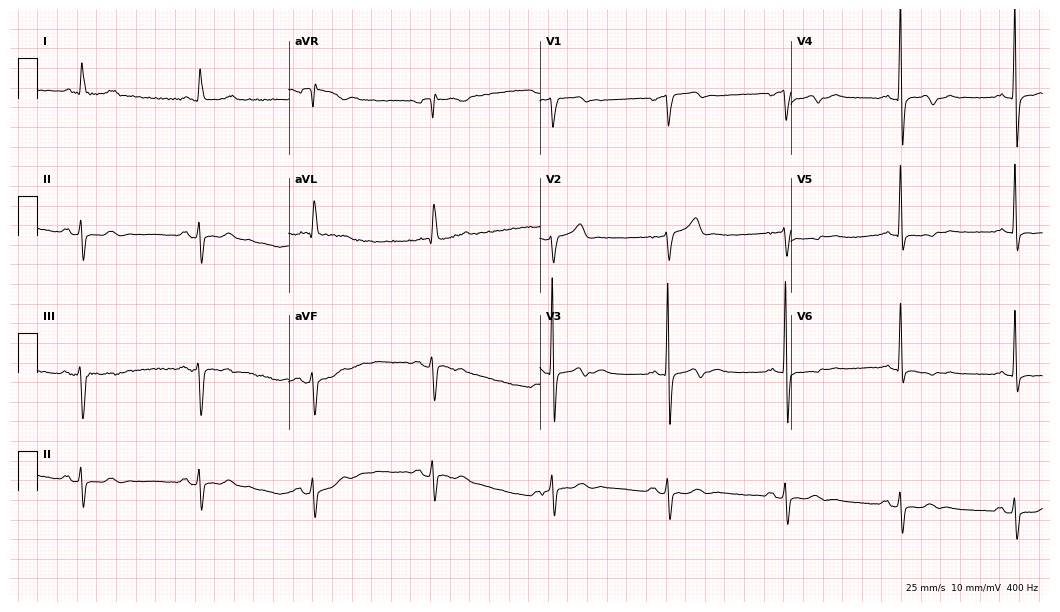
Standard 12-lead ECG recorded from a male, 74 years old (10.2-second recording at 400 Hz). None of these six findings is recorded: first-degree AV block, right bundle branch block (RBBB), left bundle branch block (LBBB), sinus bradycardia, atrial fibrillation (AF), sinus tachycardia. Findings outside these six are not listed.